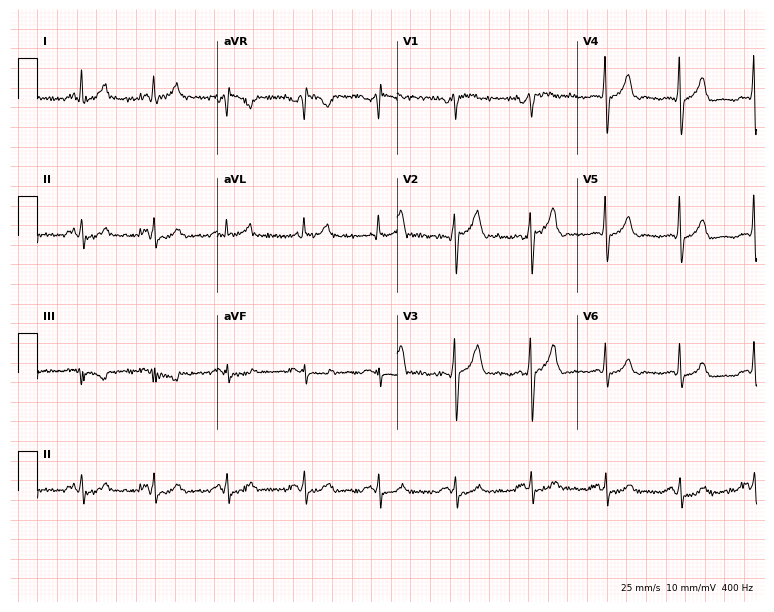
12-lead ECG from a male, 61 years old. No first-degree AV block, right bundle branch block, left bundle branch block, sinus bradycardia, atrial fibrillation or sinus tachycardia recorded for this tracing. Findings outside these six are not listed.